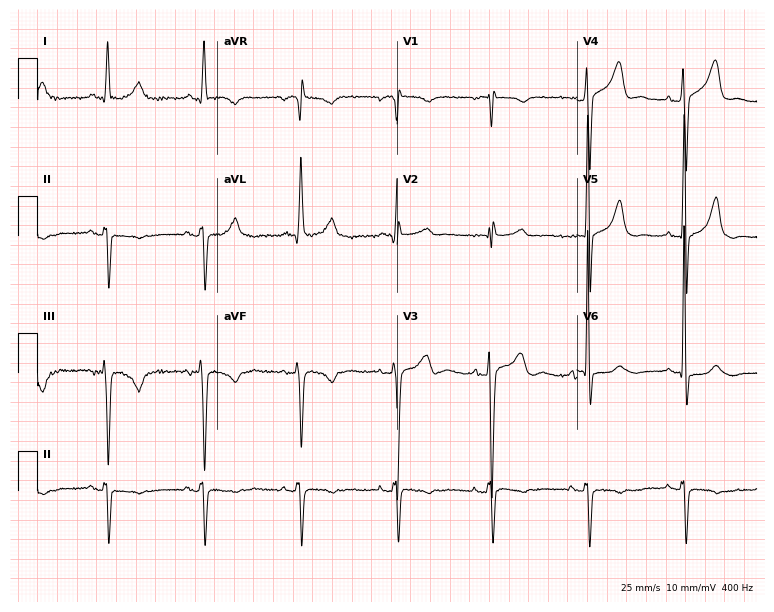
12-lead ECG from a 74-year-old man. No first-degree AV block, right bundle branch block, left bundle branch block, sinus bradycardia, atrial fibrillation or sinus tachycardia recorded for this tracing.